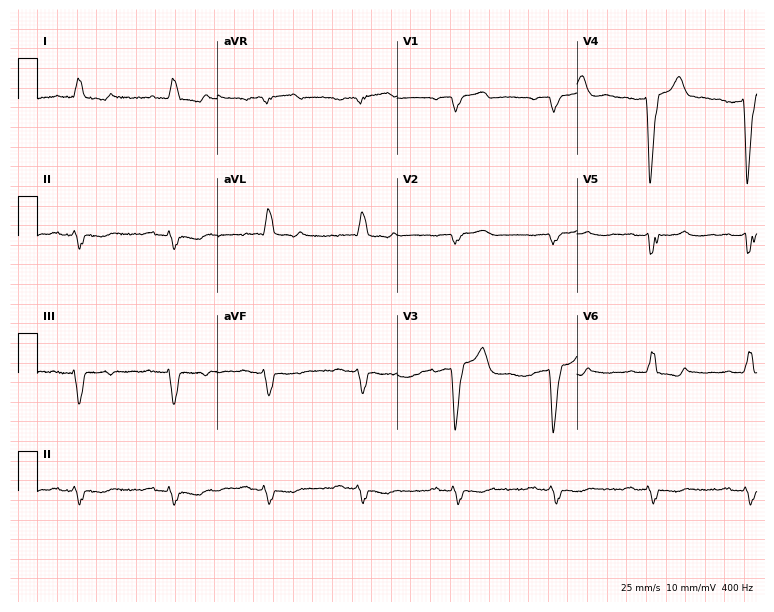
ECG — a female, 59 years old. Findings include first-degree AV block, left bundle branch block.